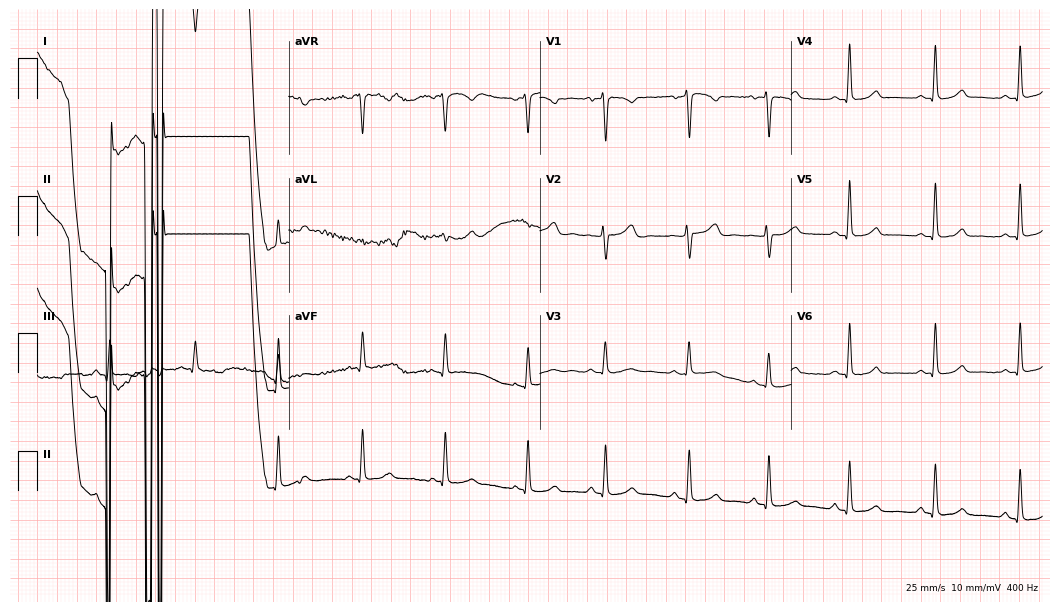
Resting 12-lead electrocardiogram (10.2-second recording at 400 Hz). Patient: a 24-year-old female. None of these six findings is recorded: first-degree AV block, right bundle branch block, left bundle branch block, sinus bradycardia, atrial fibrillation, sinus tachycardia.